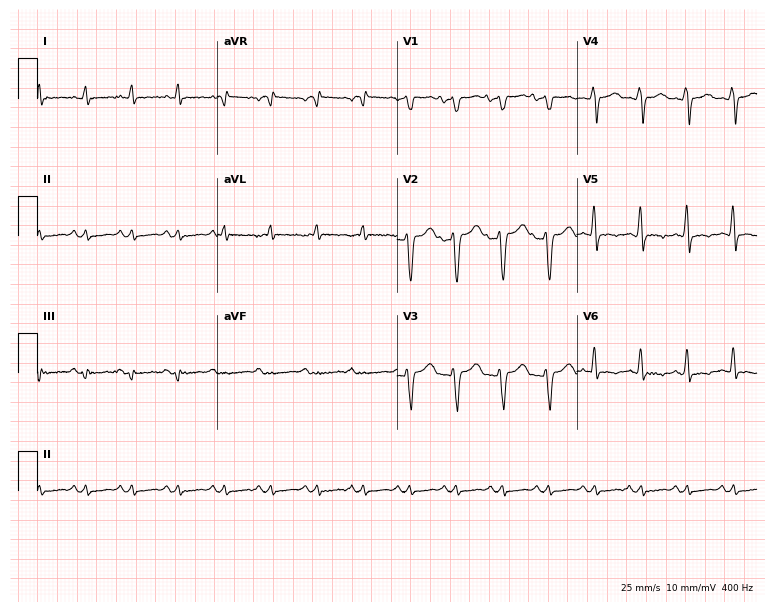
12-lead ECG from a 38-year-old male patient. No first-degree AV block, right bundle branch block (RBBB), left bundle branch block (LBBB), sinus bradycardia, atrial fibrillation (AF) or sinus tachycardia recorded for this tracing. Only these six findings were labelled.